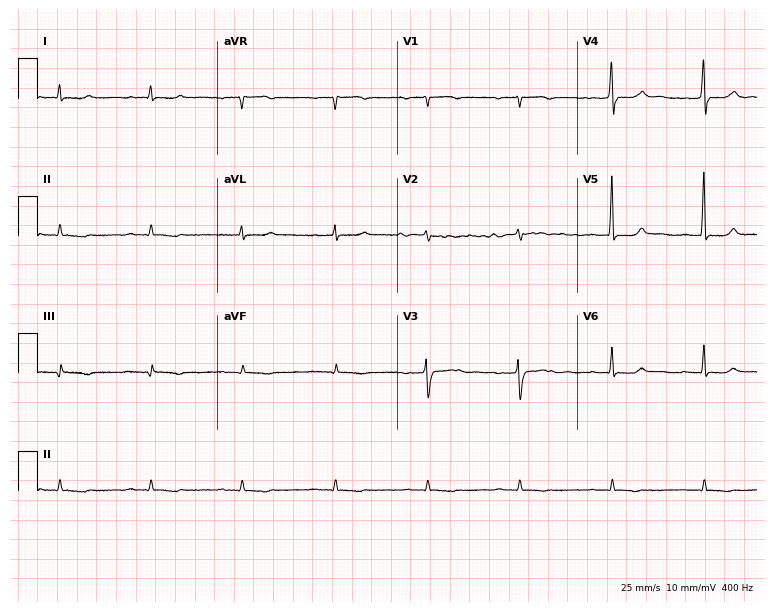
Resting 12-lead electrocardiogram. Patient: a 50-year-old male. None of these six findings is recorded: first-degree AV block, right bundle branch block, left bundle branch block, sinus bradycardia, atrial fibrillation, sinus tachycardia. Only these six findings were labelled.